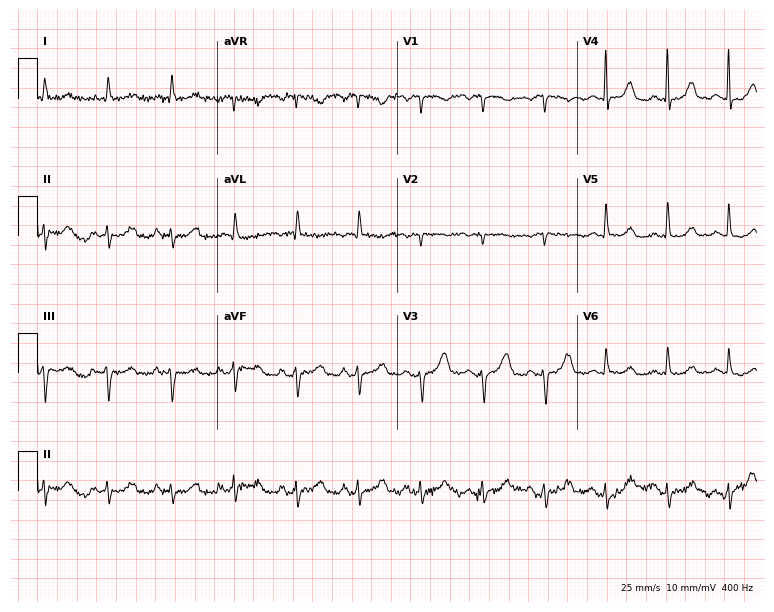
12-lead ECG (7.3-second recording at 400 Hz) from a female, 82 years old. Screened for six findings — first-degree AV block, right bundle branch block, left bundle branch block, sinus bradycardia, atrial fibrillation, sinus tachycardia — none is recorded. Findings outside these six are not listed.